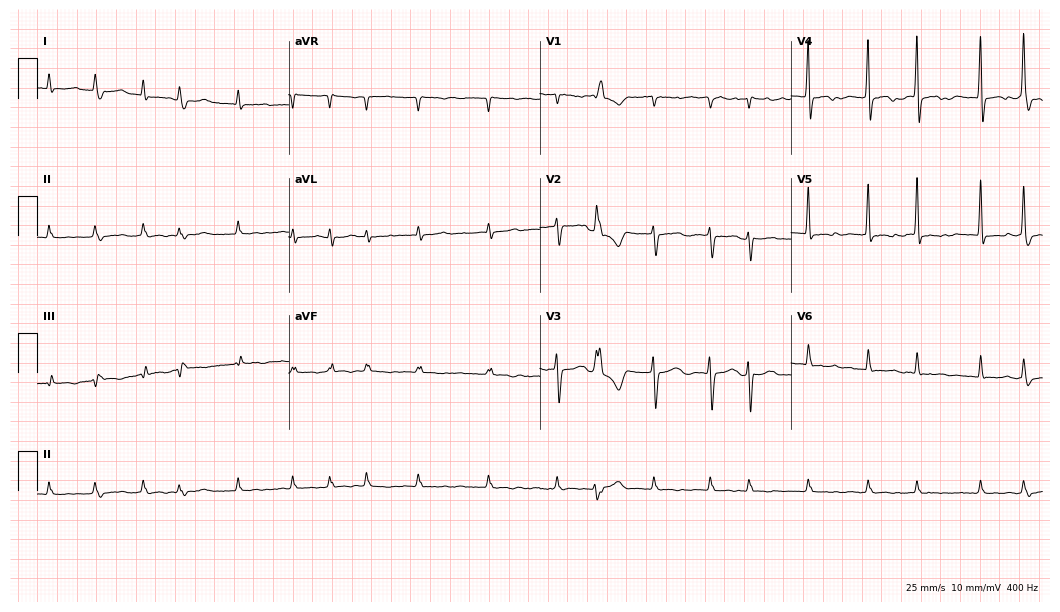
Resting 12-lead electrocardiogram. Patient: a man, 69 years old. The tracing shows atrial fibrillation (AF).